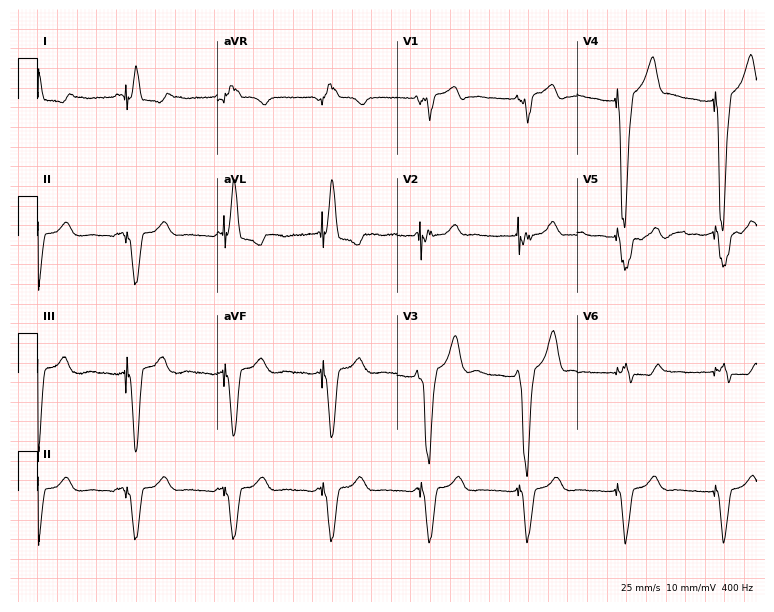
Electrocardiogram, a male, 73 years old. Of the six screened findings (first-degree AV block, right bundle branch block (RBBB), left bundle branch block (LBBB), sinus bradycardia, atrial fibrillation (AF), sinus tachycardia), none is recorded. Only these six findings were labelled.